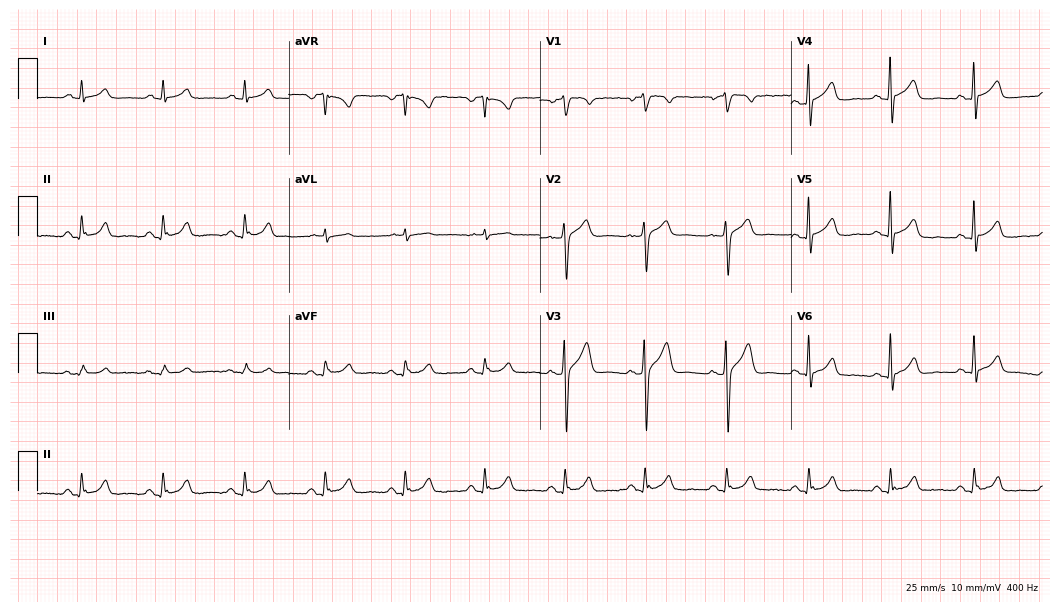
Standard 12-lead ECG recorded from a man, 55 years old. Read as a normal ECG.